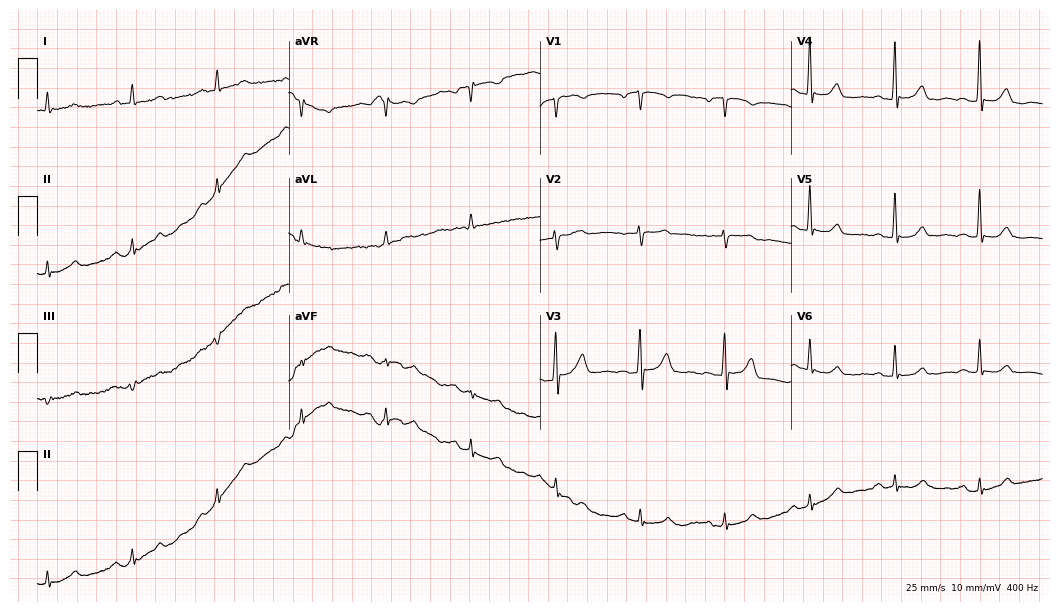
ECG (10.2-second recording at 400 Hz) — a 74-year-old man. Screened for six findings — first-degree AV block, right bundle branch block (RBBB), left bundle branch block (LBBB), sinus bradycardia, atrial fibrillation (AF), sinus tachycardia — none is recorded.